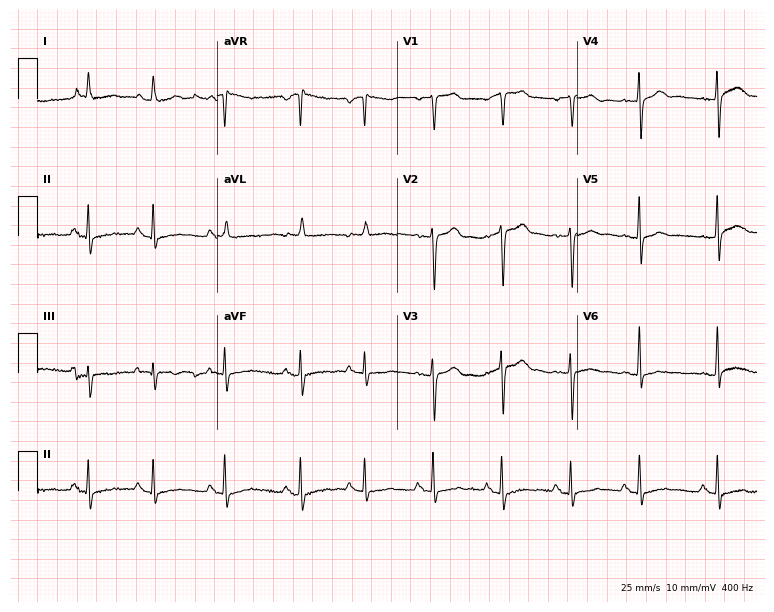
Electrocardiogram, a woman, 83 years old. Overall reading on record: normal ECG.